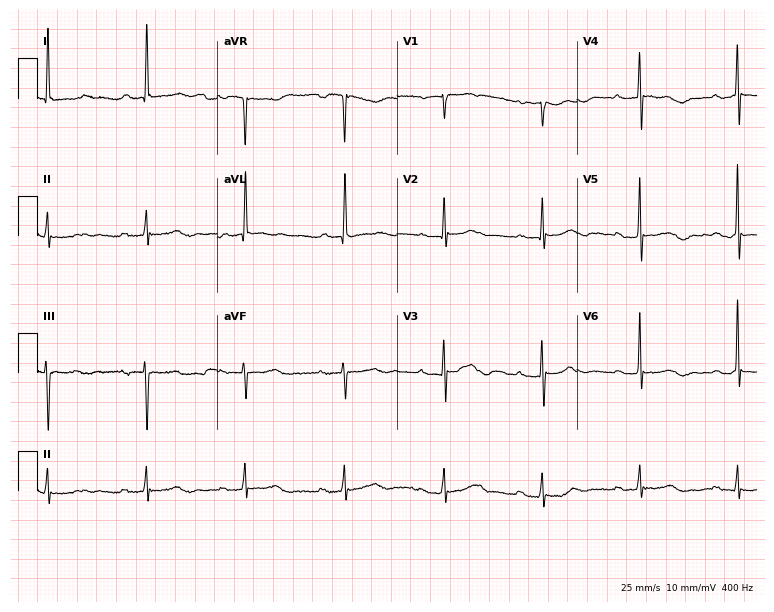
Resting 12-lead electrocardiogram (7.3-second recording at 400 Hz). Patient: a female, 76 years old. The tracing shows first-degree AV block.